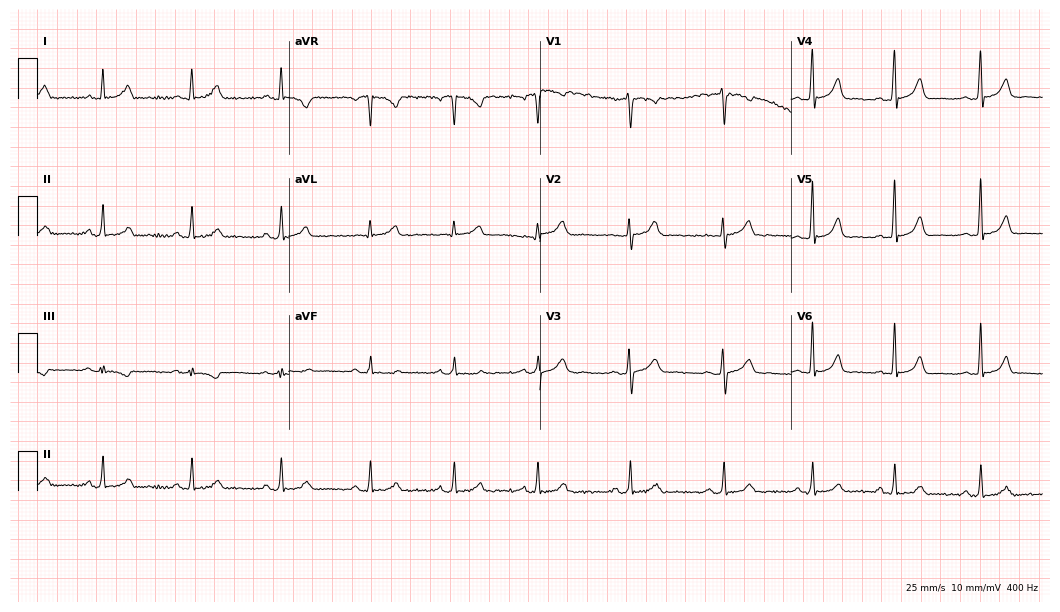
Standard 12-lead ECG recorded from a 33-year-old female patient (10.2-second recording at 400 Hz). Read as a normal ECG.